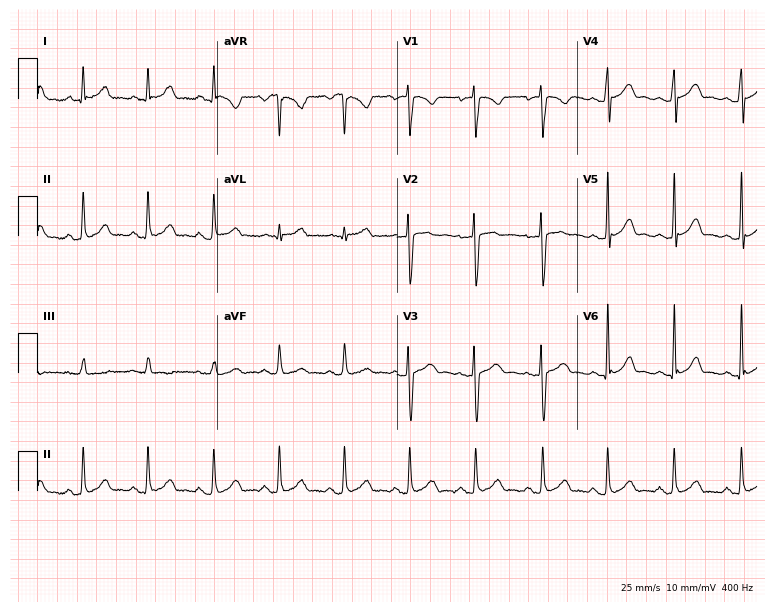
Resting 12-lead electrocardiogram. Patient: a 36-year-old female. Read as a normal ECG.